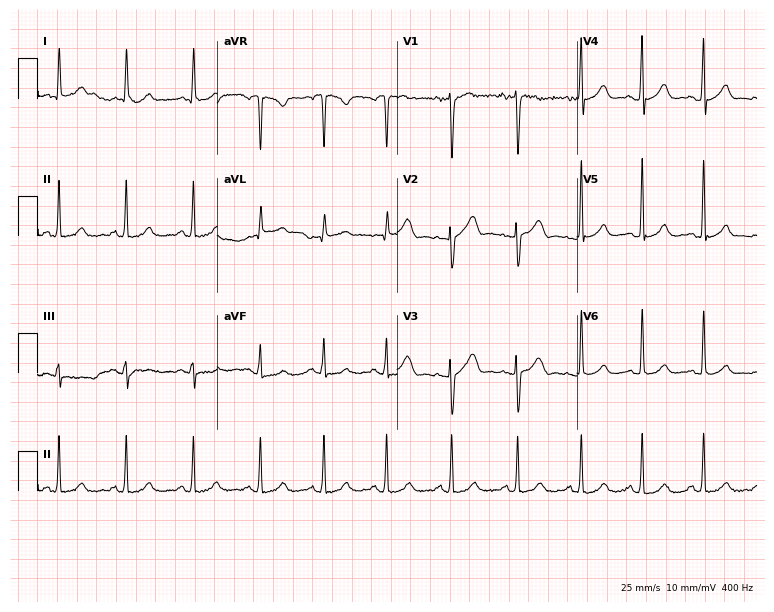
Resting 12-lead electrocardiogram (7.3-second recording at 400 Hz). Patient: a 34-year-old woman. Read as a normal ECG.